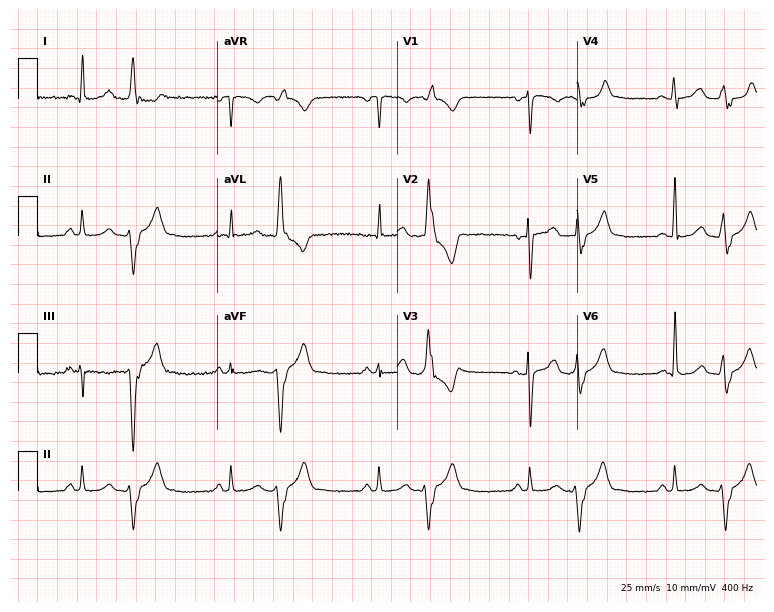
ECG — a 62-year-old female. Screened for six findings — first-degree AV block, right bundle branch block, left bundle branch block, sinus bradycardia, atrial fibrillation, sinus tachycardia — none is recorded.